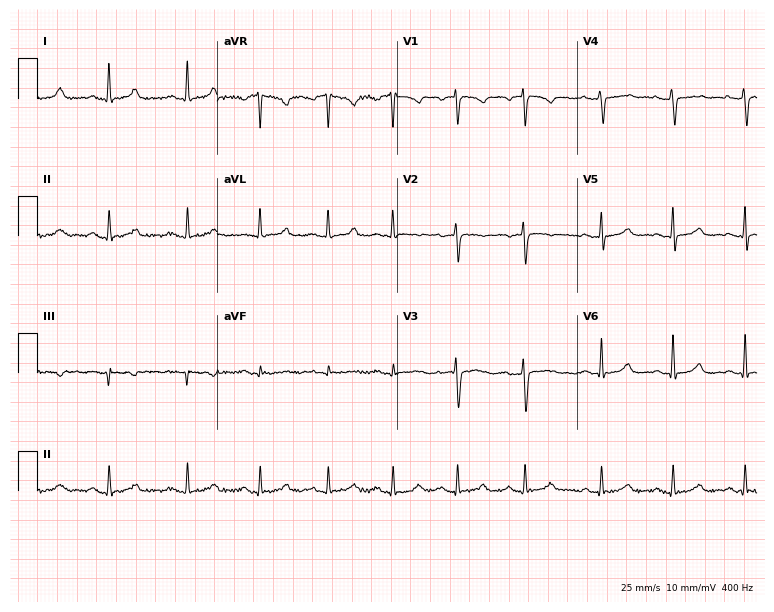
Resting 12-lead electrocardiogram (7.3-second recording at 400 Hz). Patient: a woman, 44 years old. None of these six findings is recorded: first-degree AV block, right bundle branch block, left bundle branch block, sinus bradycardia, atrial fibrillation, sinus tachycardia. Findings outside these six are not listed.